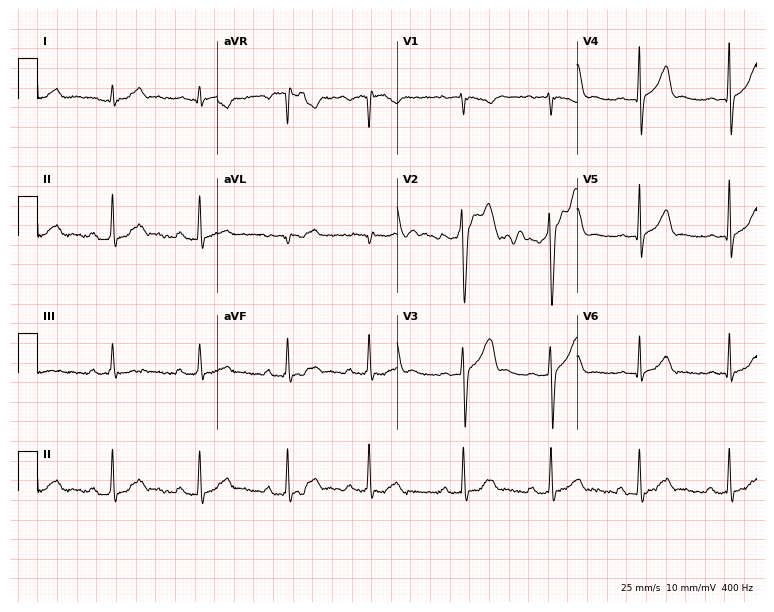
12-lead ECG (7.3-second recording at 400 Hz) from a man, 25 years old. Screened for six findings — first-degree AV block, right bundle branch block, left bundle branch block, sinus bradycardia, atrial fibrillation, sinus tachycardia — none is recorded. Findings outside these six are not listed.